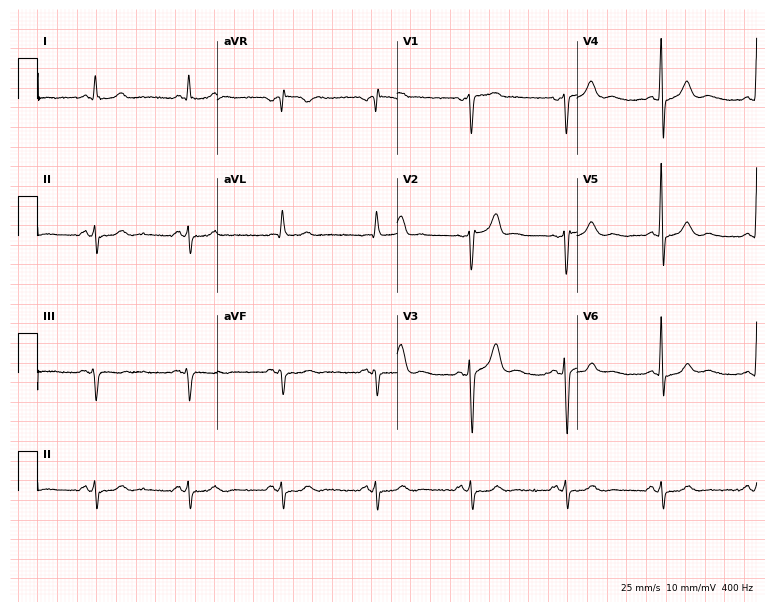
ECG (7.3-second recording at 400 Hz) — a 65-year-old male patient. Labelled as a normal ECG.